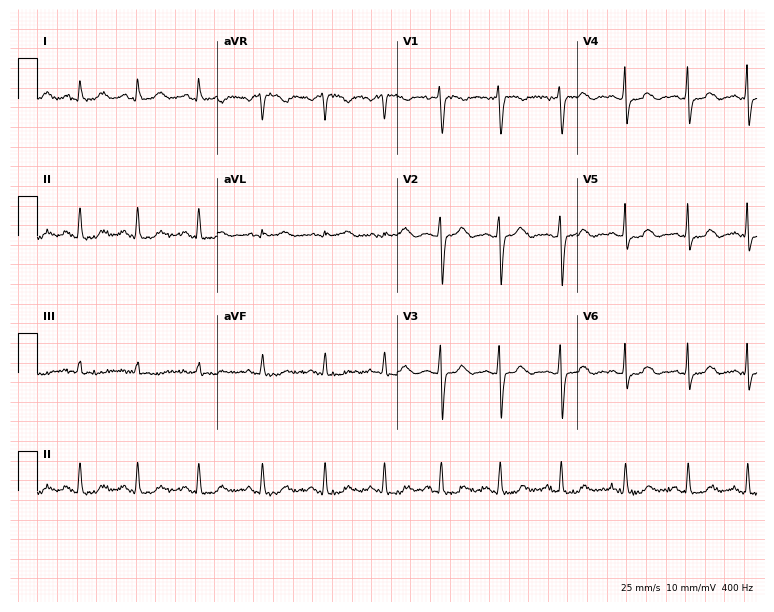
Electrocardiogram (7.3-second recording at 400 Hz), a 36-year-old female. Overall reading on record: normal ECG.